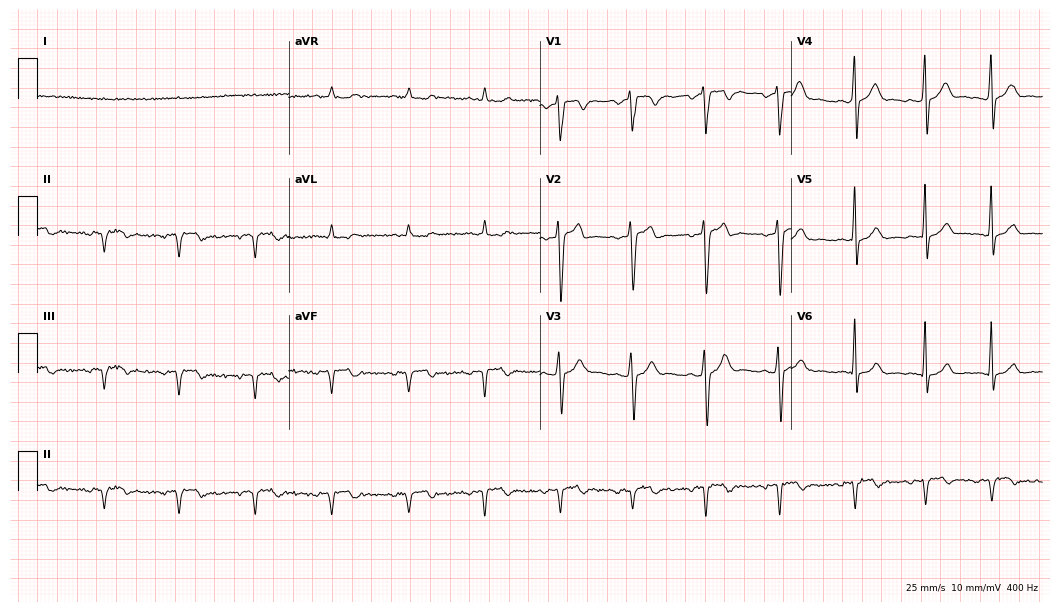
Resting 12-lead electrocardiogram. Patient: a 27-year-old male. None of these six findings is recorded: first-degree AV block, right bundle branch block (RBBB), left bundle branch block (LBBB), sinus bradycardia, atrial fibrillation (AF), sinus tachycardia. Findings outside these six are not listed.